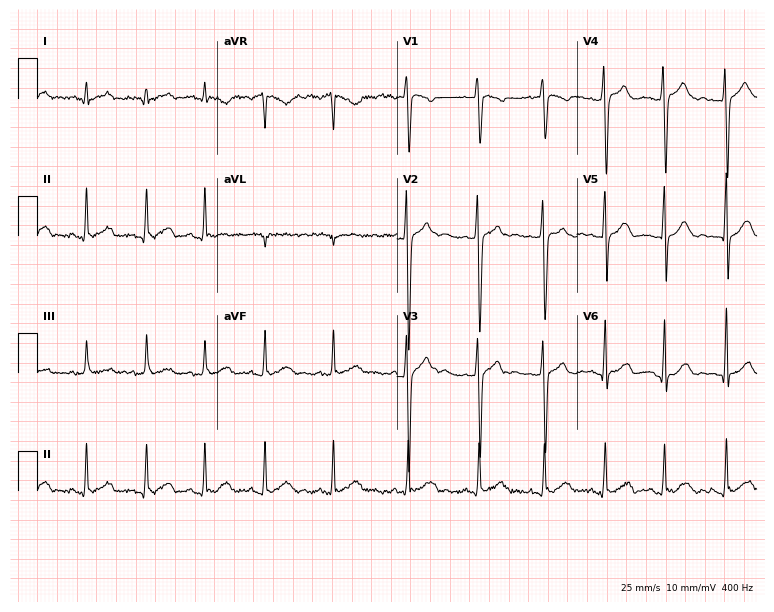
12-lead ECG from a 17-year-old male. Labelled as a normal ECG.